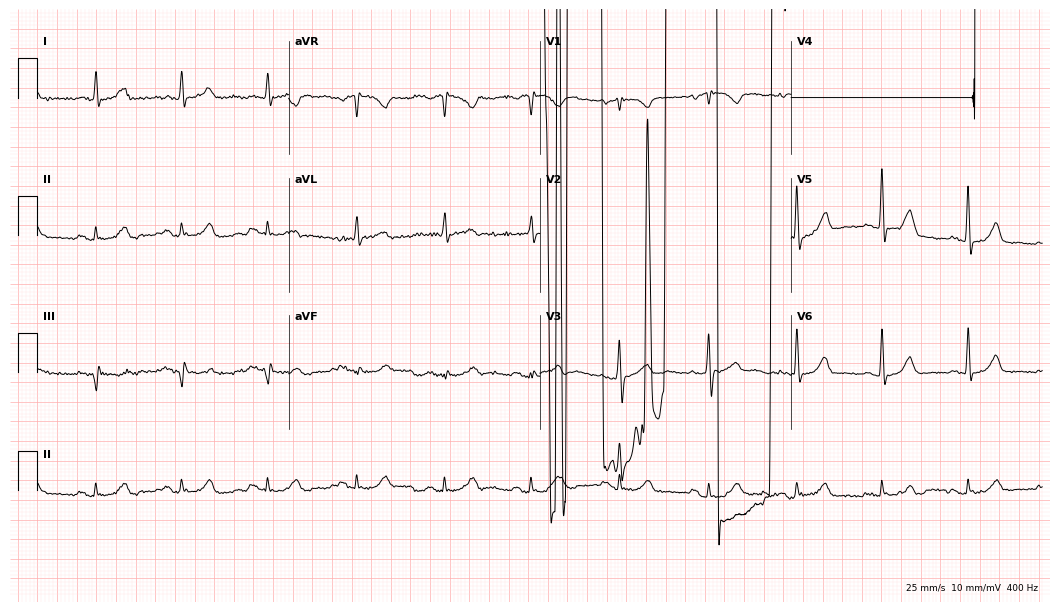
12-lead ECG (10.2-second recording at 400 Hz) from an 81-year-old female. Screened for six findings — first-degree AV block, right bundle branch block, left bundle branch block, sinus bradycardia, atrial fibrillation, sinus tachycardia — none is recorded. Only these six findings were labelled.